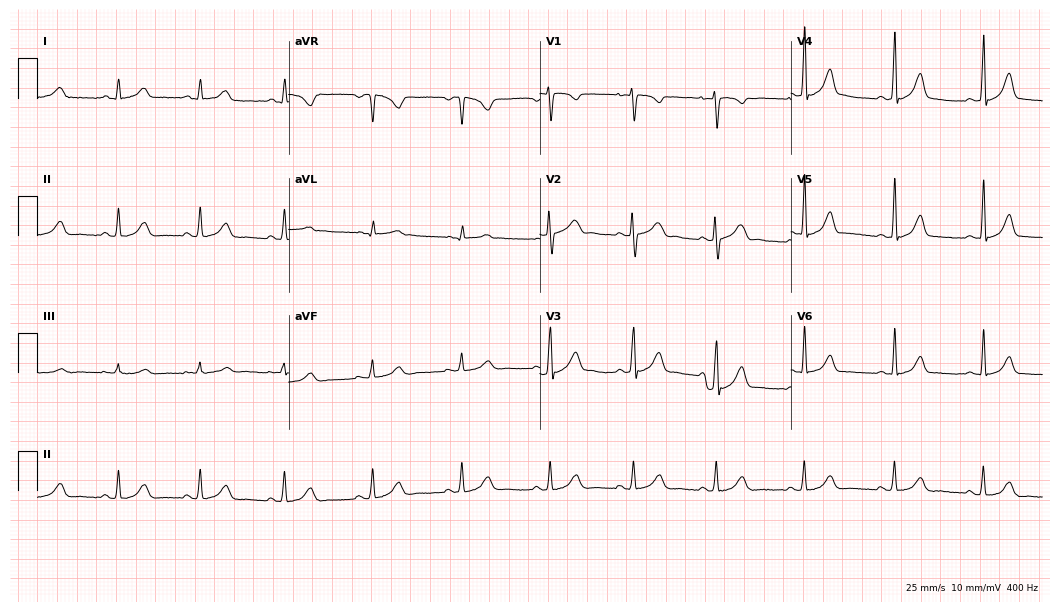
12-lead ECG from a female patient, 26 years old. No first-degree AV block, right bundle branch block, left bundle branch block, sinus bradycardia, atrial fibrillation or sinus tachycardia recorded for this tracing. Findings outside these six are not listed.